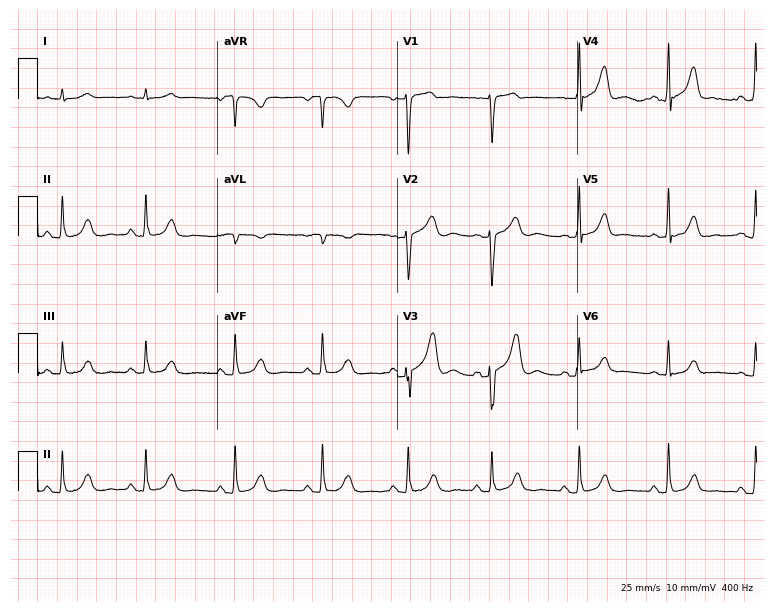
12-lead ECG (7.3-second recording at 400 Hz) from a male patient, 78 years old. Screened for six findings — first-degree AV block, right bundle branch block, left bundle branch block, sinus bradycardia, atrial fibrillation, sinus tachycardia — none is recorded. Findings outside these six are not listed.